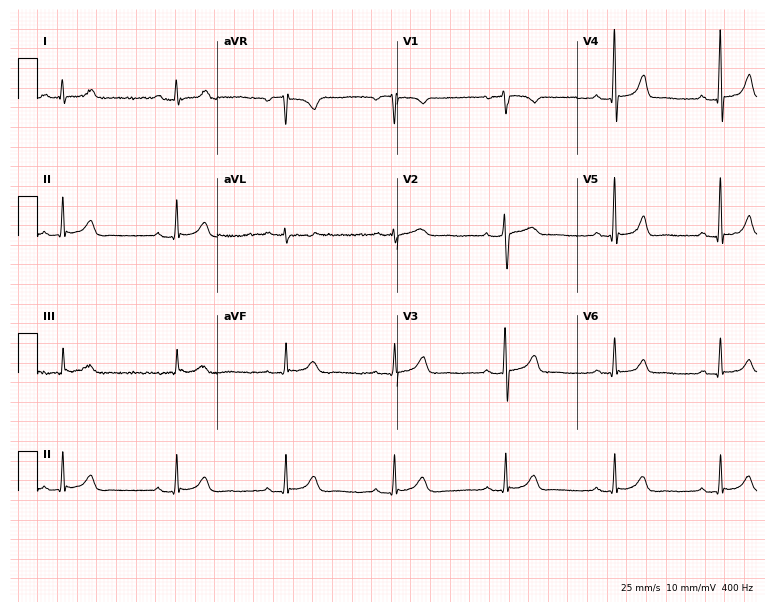
ECG — a female patient, 62 years old. Screened for six findings — first-degree AV block, right bundle branch block, left bundle branch block, sinus bradycardia, atrial fibrillation, sinus tachycardia — none is recorded.